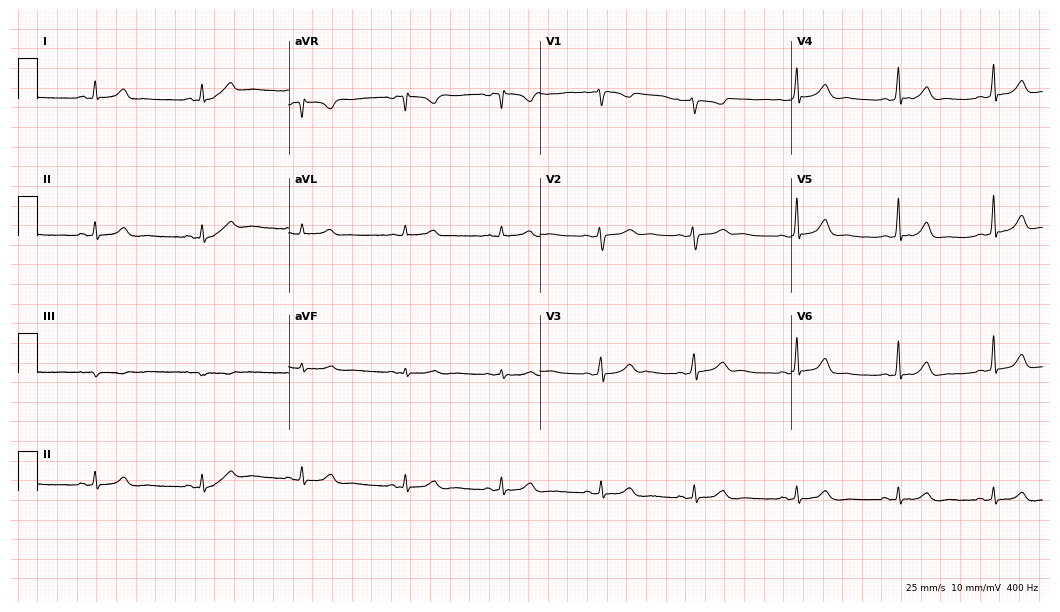
Electrocardiogram (10.2-second recording at 400 Hz), a 40-year-old female patient. Overall reading on record: normal ECG.